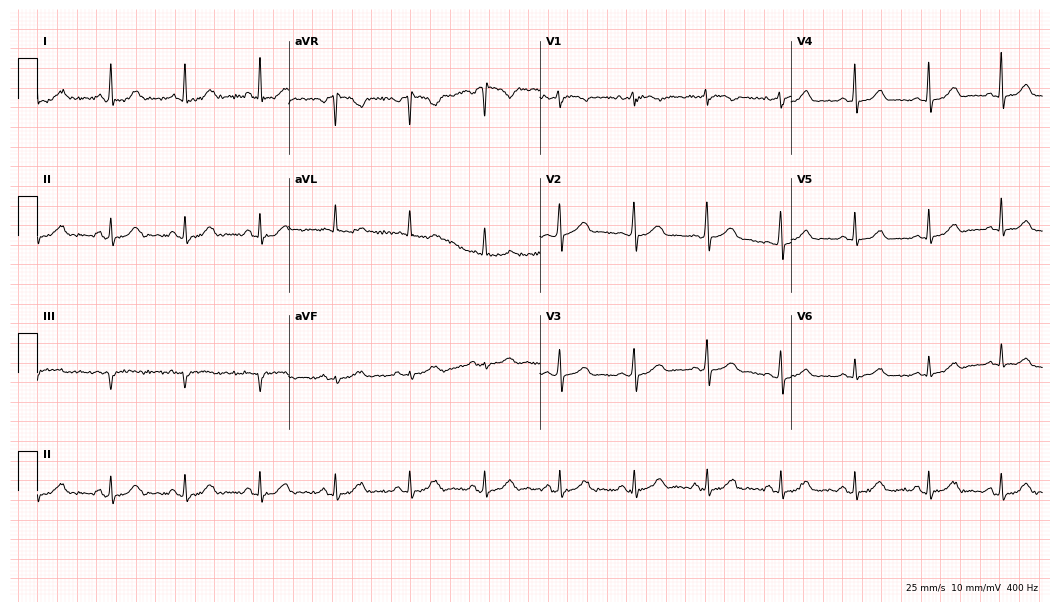
12-lead ECG from a woman, 58 years old (10.2-second recording at 400 Hz). No first-degree AV block, right bundle branch block (RBBB), left bundle branch block (LBBB), sinus bradycardia, atrial fibrillation (AF) or sinus tachycardia recorded for this tracing.